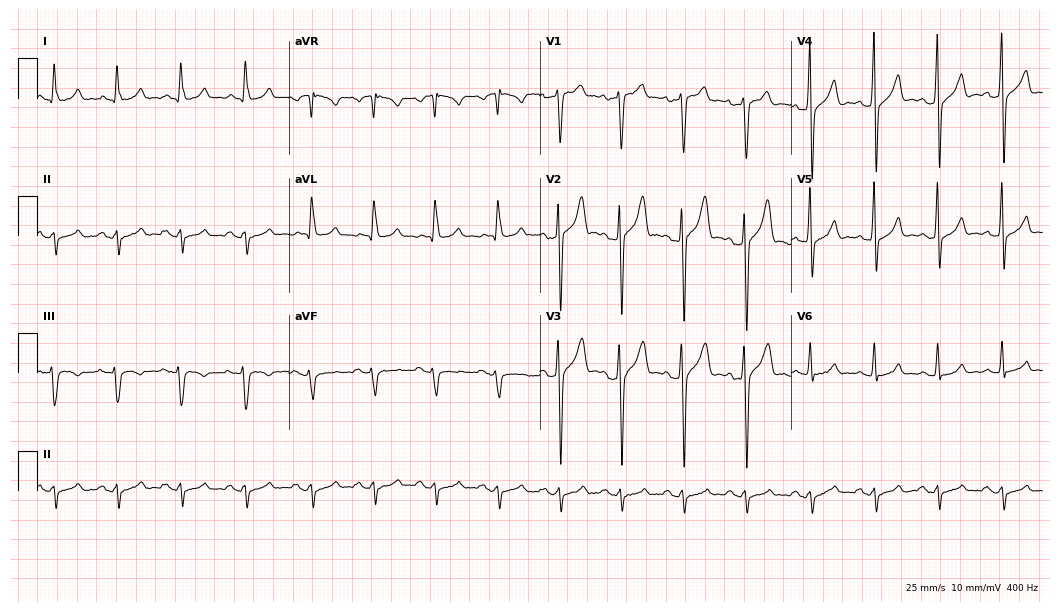
12-lead ECG from a male, 40 years old. No first-degree AV block, right bundle branch block (RBBB), left bundle branch block (LBBB), sinus bradycardia, atrial fibrillation (AF) or sinus tachycardia recorded for this tracing. Only these six findings were labelled.